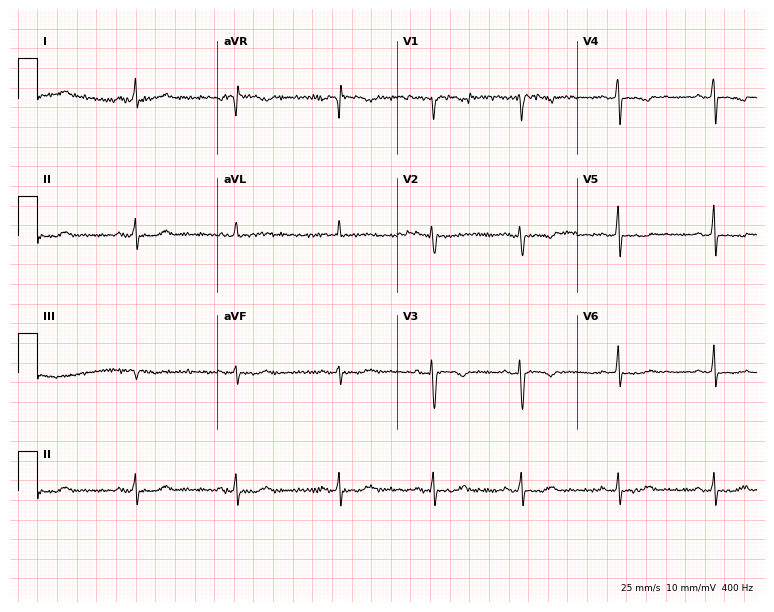
Resting 12-lead electrocardiogram (7.3-second recording at 400 Hz). Patient: a female, 68 years old. None of these six findings is recorded: first-degree AV block, right bundle branch block, left bundle branch block, sinus bradycardia, atrial fibrillation, sinus tachycardia. Findings outside these six are not listed.